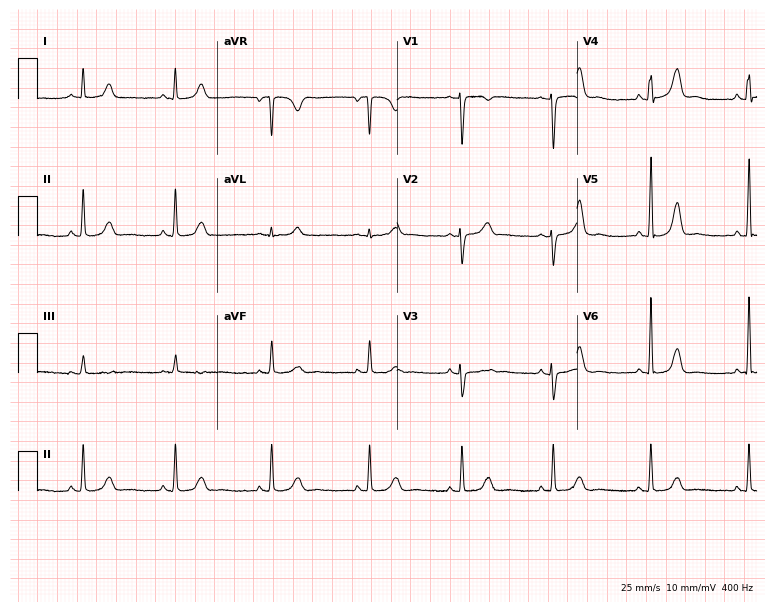
Resting 12-lead electrocardiogram. Patient: a woman, 40 years old. Read as a normal ECG.